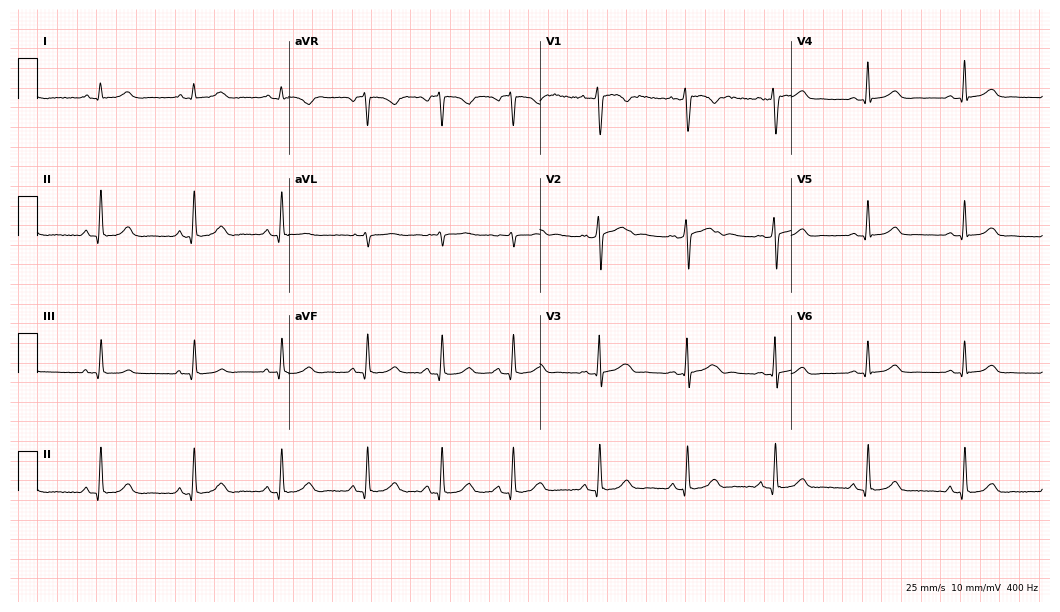
Standard 12-lead ECG recorded from a 27-year-old woman (10.2-second recording at 400 Hz). None of these six findings is recorded: first-degree AV block, right bundle branch block, left bundle branch block, sinus bradycardia, atrial fibrillation, sinus tachycardia.